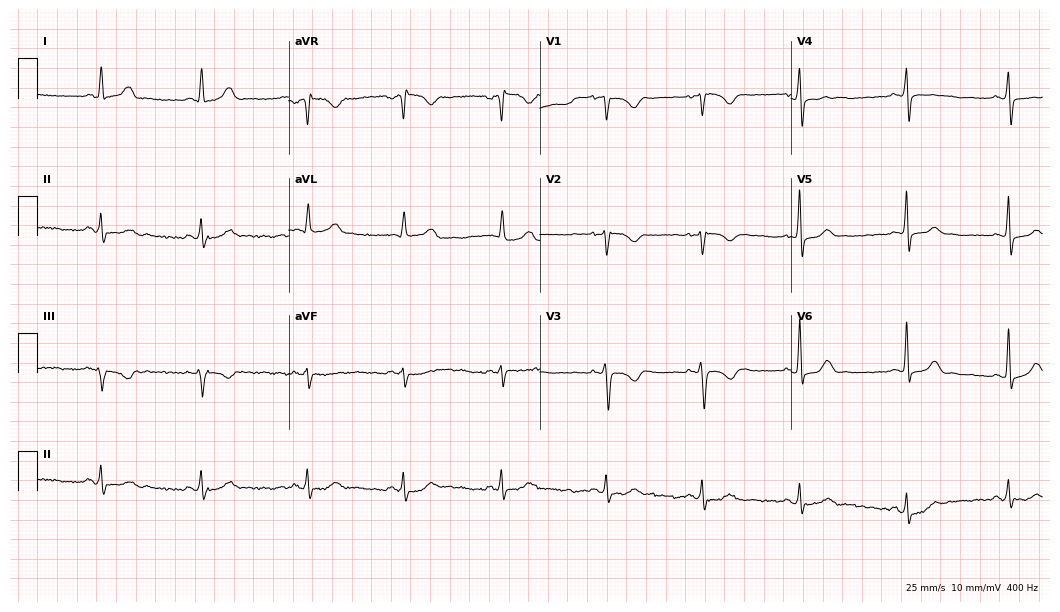
Standard 12-lead ECG recorded from a woman, 37 years old. Read as a normal ECG.